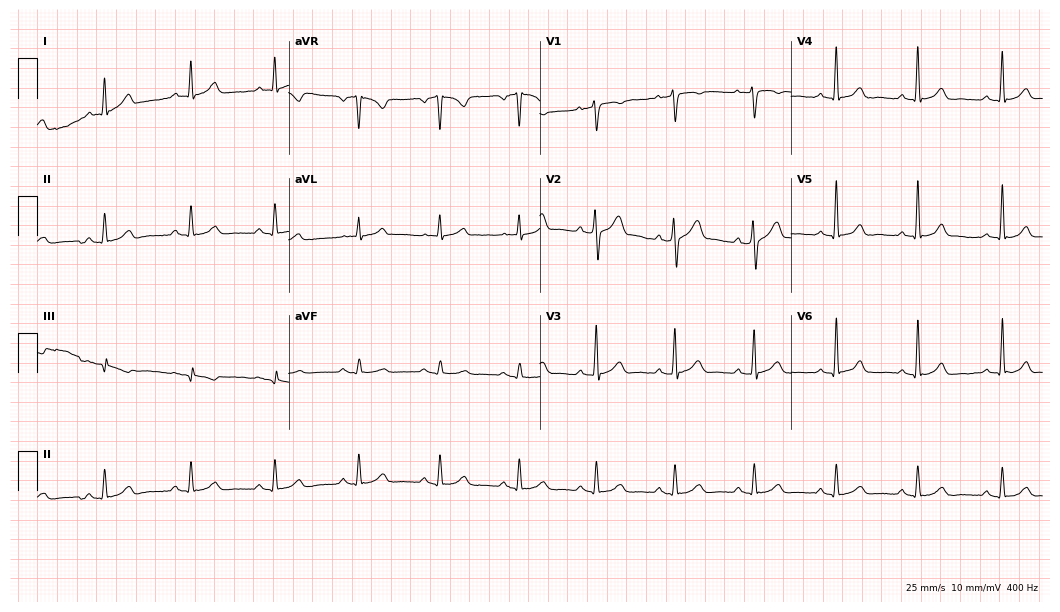
Electrocardiogram, a man, 41 years old. Of the six screened findings (first-degree AV block, right bundle branch block (RBBB), left bundle branch block (LBBB), sinus bradycardia, atrial fibrillation (AF), sinus tachycardia), none is recorded. Other findings, if any, are not listed.